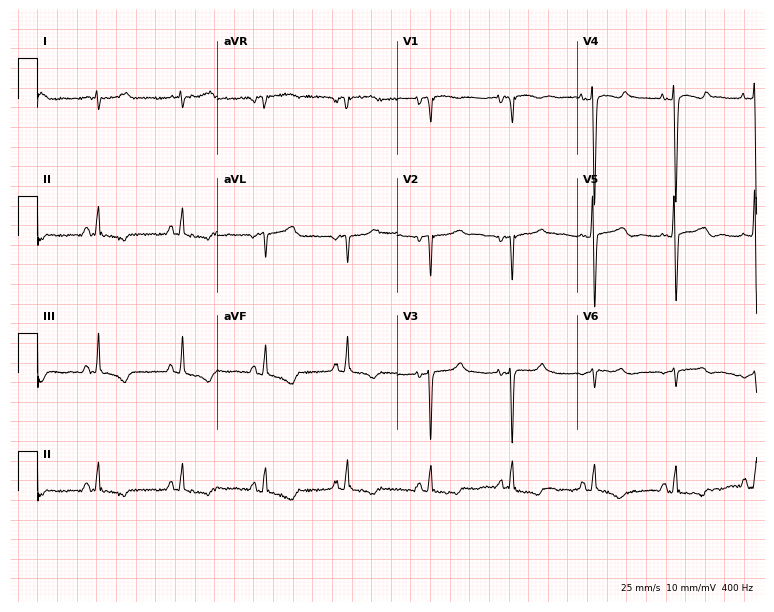
12-lead ECG from a 38-year-old male patient. Screened for six findings — first-degree AV block, right bundle branch block, left bundle branch block, sinus bradycardia, atrial fibrillation, sinus tachycardia — none is recorded. Other findings, if any, are not listed.